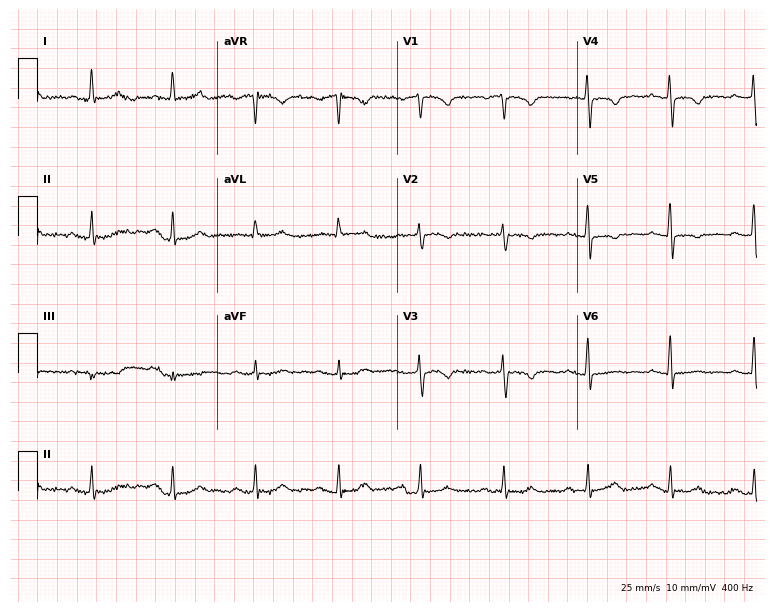
12-lead ECG from a 65-year-old female (7.3-second recording at 400 Hz). No first-degree AV block, right bundle branch block, left bundle branch block, sinus bradycardia, atrial fibrillation or sinus tachycardia recorded for this tracing.